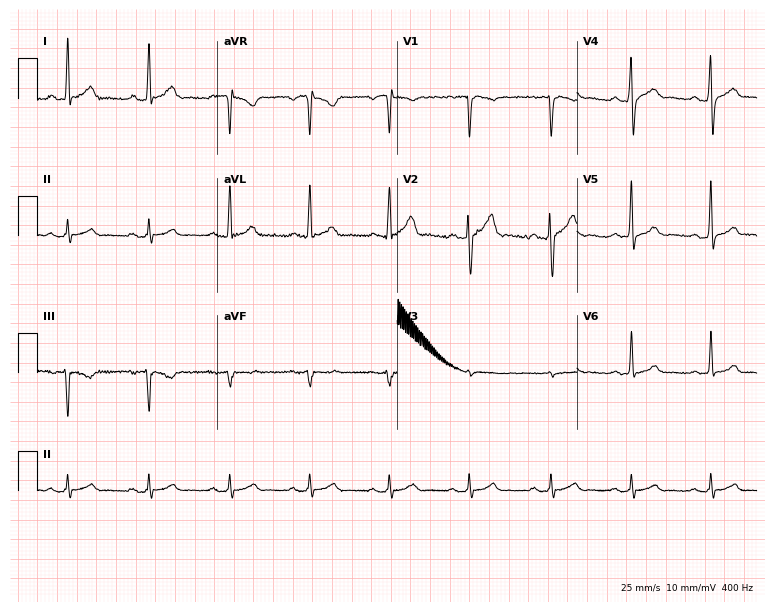
12-lead ECG from a 32-year-old man. Screened for six findings — first-degree AV block, right bundle branch block (RBBB), left bundle branch block (LBBB), sinus bradycardia, atrial fibrillation (AF), sinus tachycardia — none is recorded.